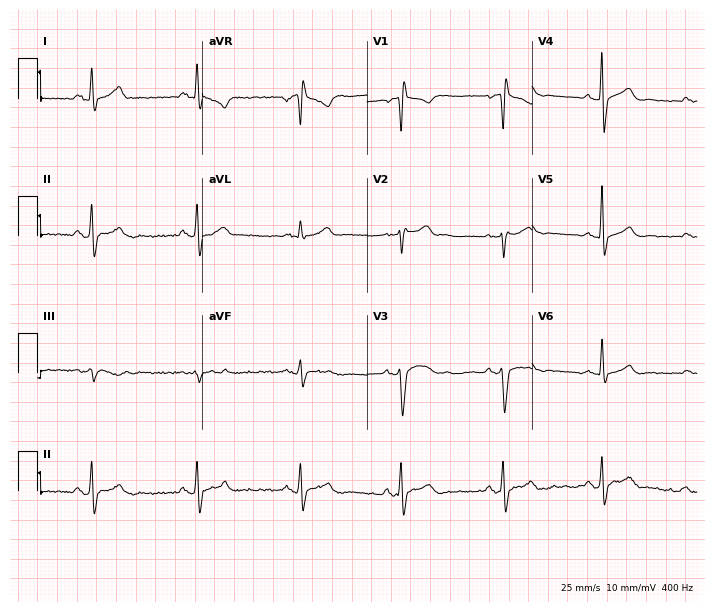
Standard 12-lead ECG recorded from a 38-year-old male. None of these six findings is recorded: first-degree AV block, right bundle branch block (RBBB), left bundle branch block (LBBB), sinus bradycardia, atrial fibrillation (AF), sinus tachycardia. Other findings, if any, are not listed.